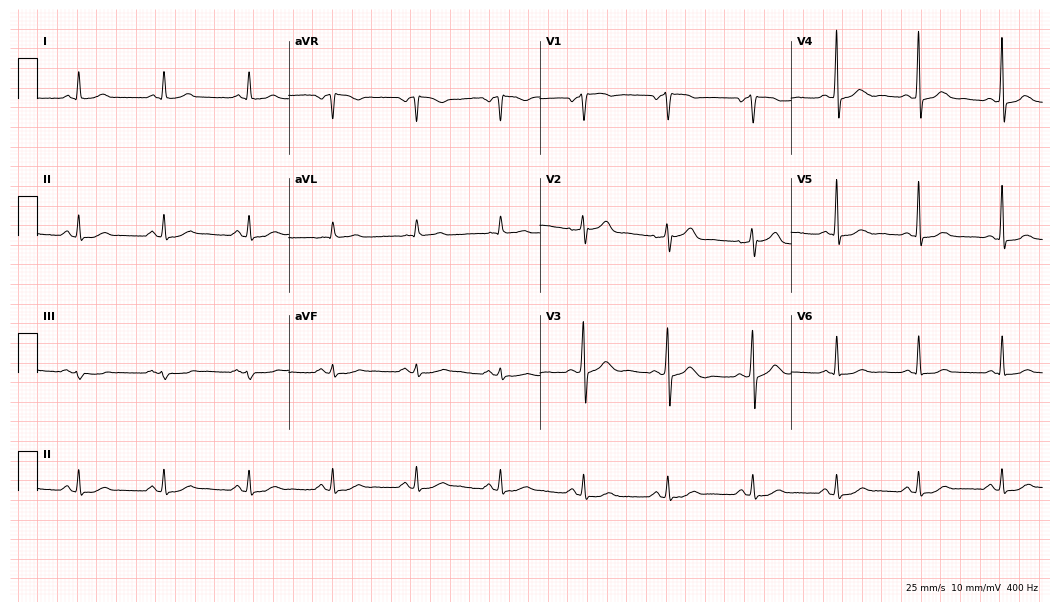
12-lead ECG (10.2-second recording at 400 Hz) from a male patient, 53 years old. Labelled as a normal ECG.